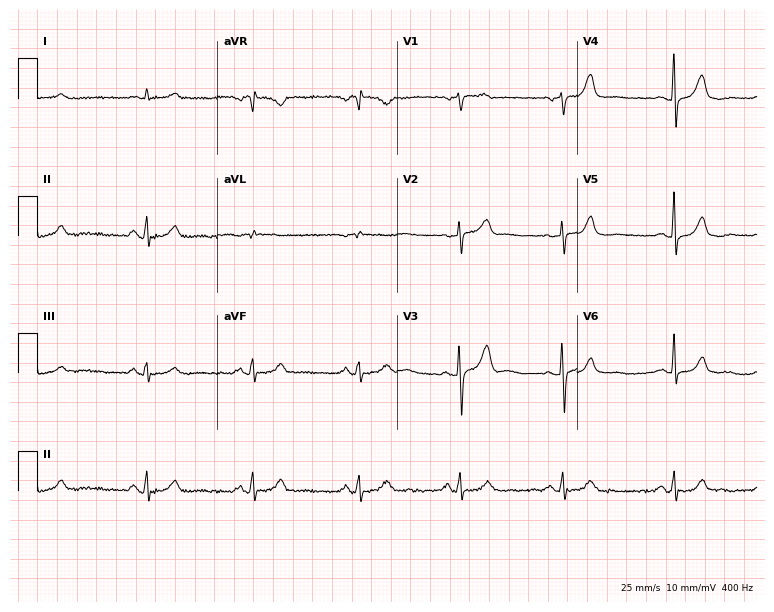
ECG — a man, 68 years old. Labelled as a normal ECG.